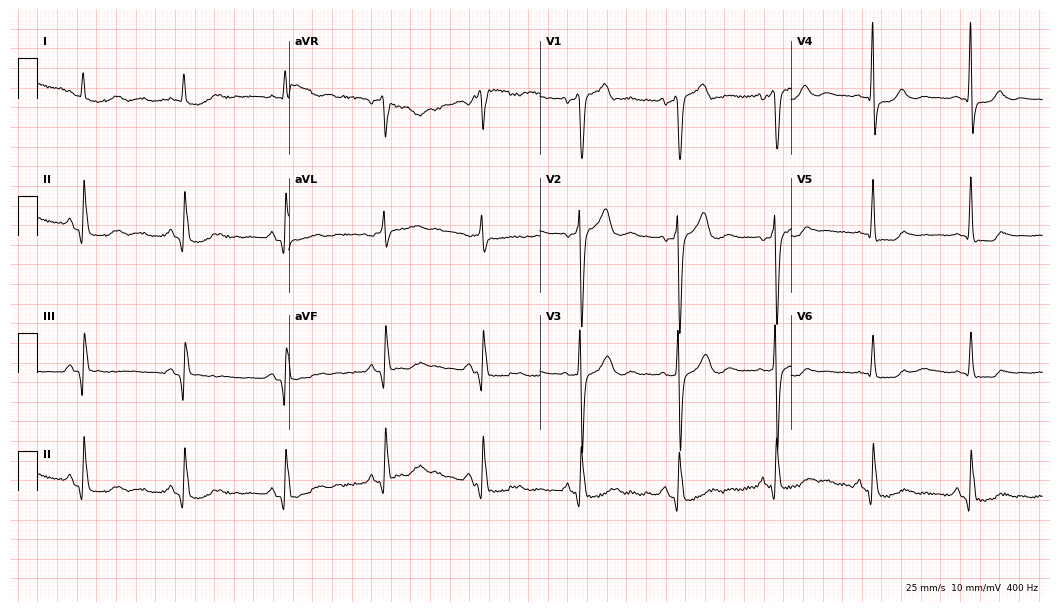
12-lead ECG from a 56-year-old male patient (10.2-second recording at 400 Hz). No first-degree AV block, right bundle branch block, left bundle branch block, sinus bradycardia, atrial fibrillation or sinus tachycardia recorded for this tracing.